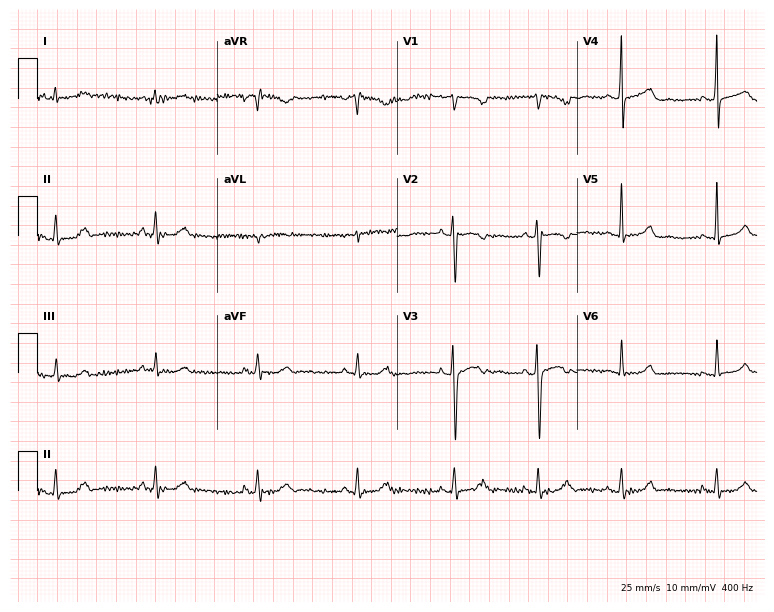
Electrocardiogram, a 26-year-old female. Of the six screened findings (first-degree AV block, right bundle branch block (RBBB), left bundle branch block (LBBB), sinus bradycardia, atrial fibrillation (AF), sinus tachycardia), none is recorded. Other findings, if any, are not listed.